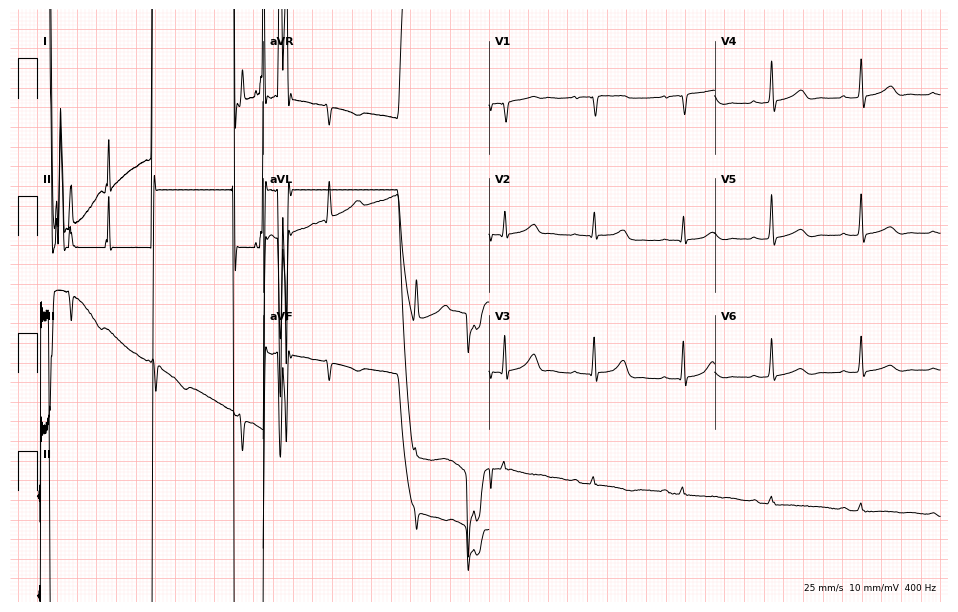
Standard 12-lead ECG recorded from a woman, 66 years old (9.2-second recording at 400 Hz). None of these six findings is recorded: first-degree AV block, right bundle branch block (RBBB), left bundle branch block (LBBB), sinus bradycardia, atrial fibrillation (AF), sinus tachycardia.